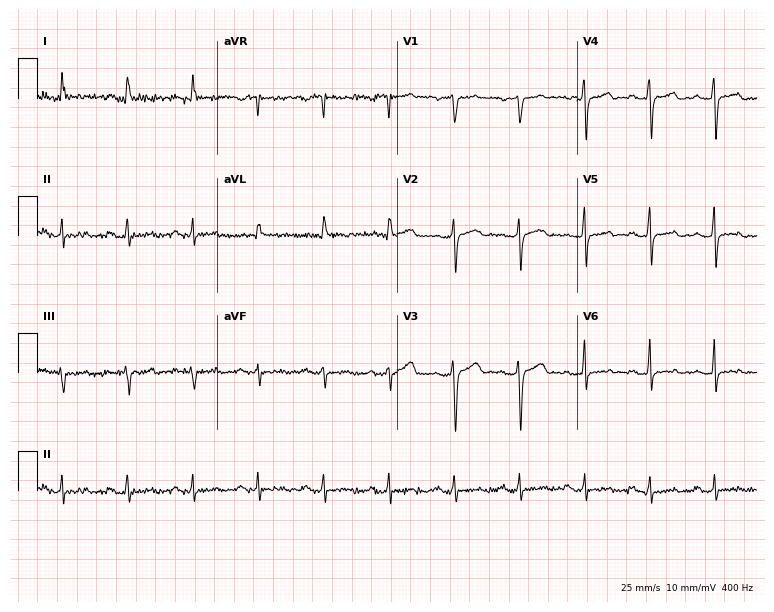
Resting 12-lead electrocardiogram (7.3-second recording at 400 Hz). Patient: a male, 49 years old. None of these six findings is recorded: first-degree AV block, right bundle branch block, left bundle branch block, sinus bradycardia, atrial fibrillation, sinus tachycardia.